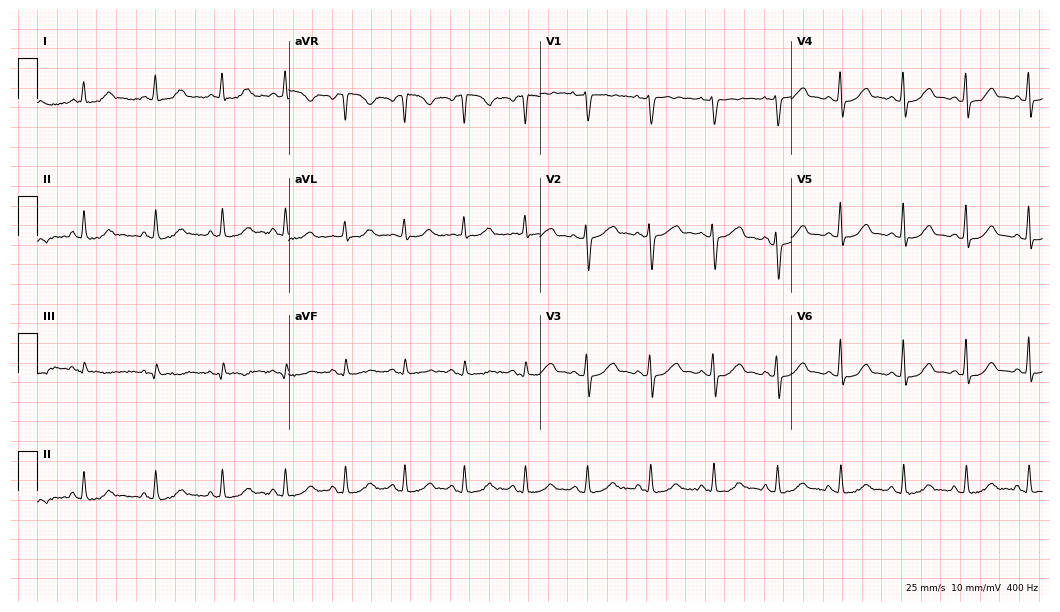
ECG (10.2-second recording at 400 Hz) — a female, 38 years old. Labelled as a normal ECG.